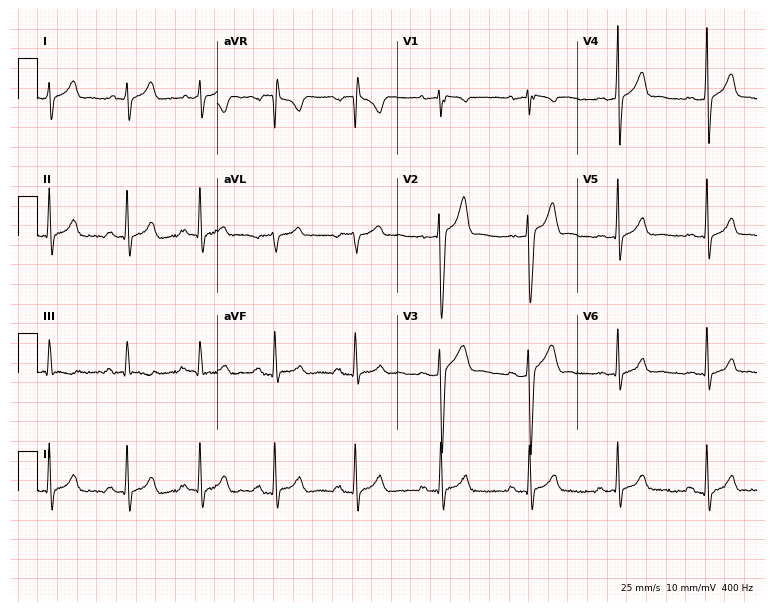
ECG — a 22-year-old male. Labelled as a normal ECG.